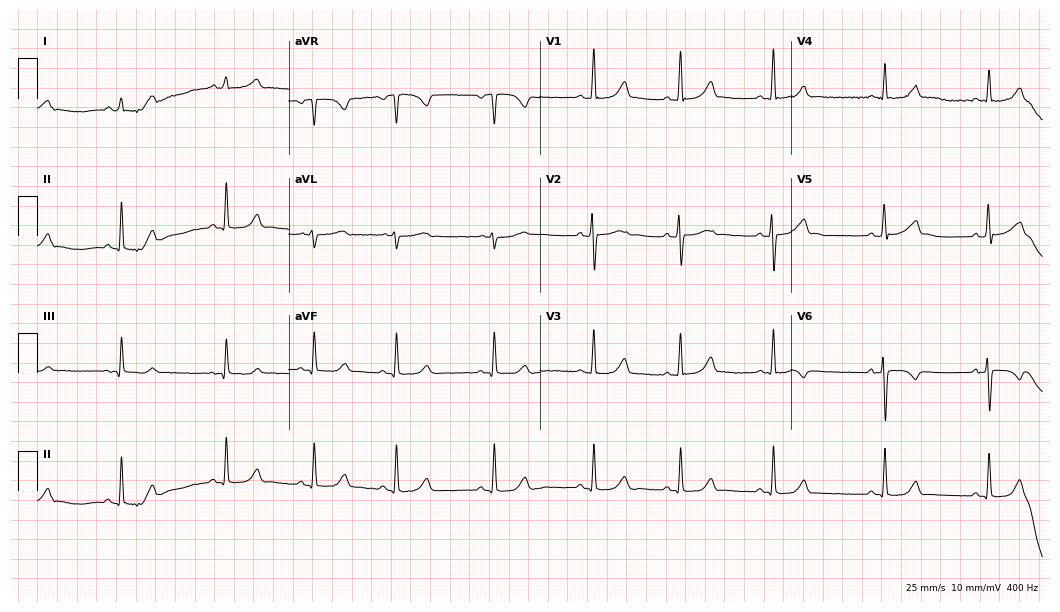
12-lead ECG from a woman, 18 years old. Screened for six findings — first-degree AV block, right bundle branch block, left bundle branch block, sinus bradycardia, atrial fibrillation, sinus tachycardia — none is recorded.